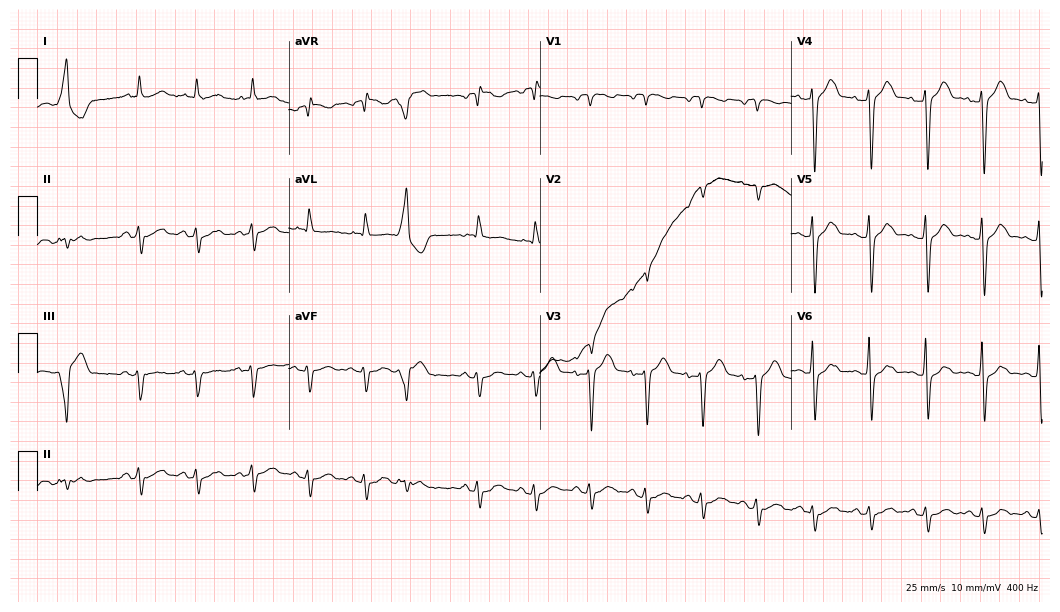
ECG — a 69-year-old male. Screened for six findings — first-degree AV block, right bundle branch block (RBBB), left bundle branch block (LBBB), sinus bradycardia, atrial fibrillation (AF), sinus tachycardia — none is recorded. Only these six findings were labelled.